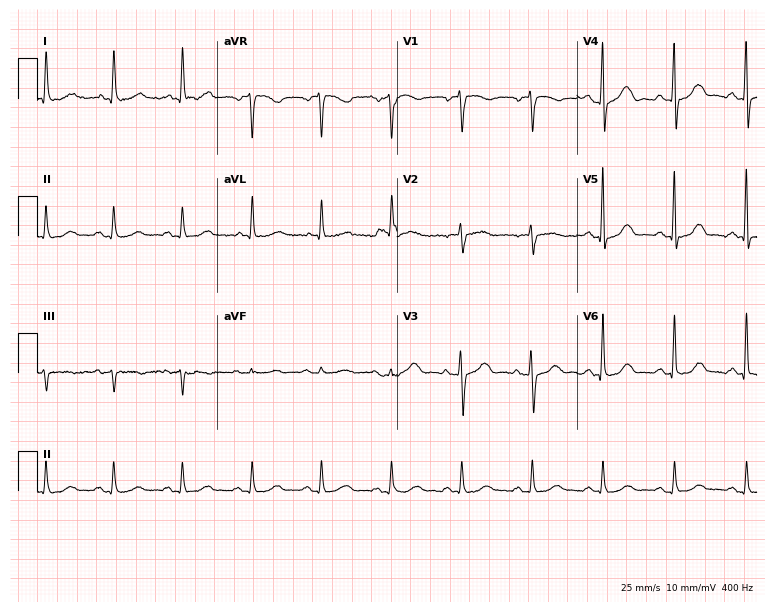
12-lead ECG from a female, 60 years old. Labelled as a normal ECG.